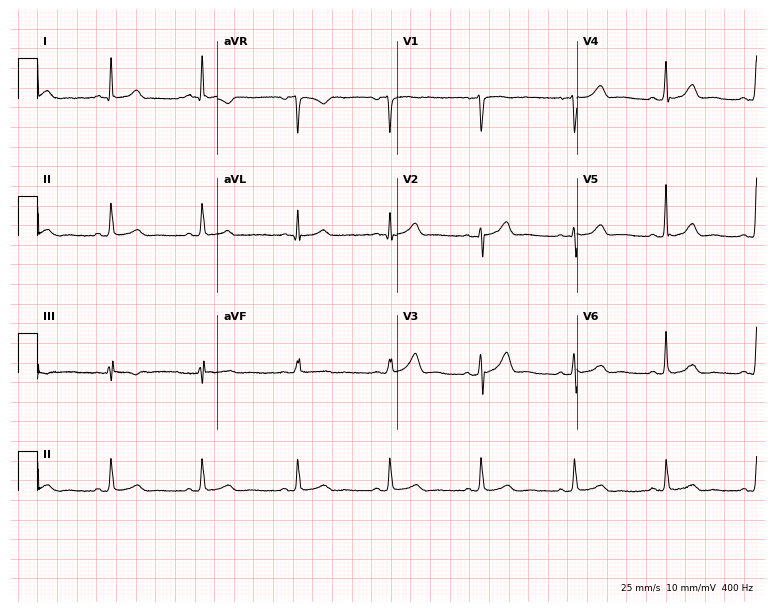
12-lead ECG from a 51-year-old woman. Labelled as a normal ECG.